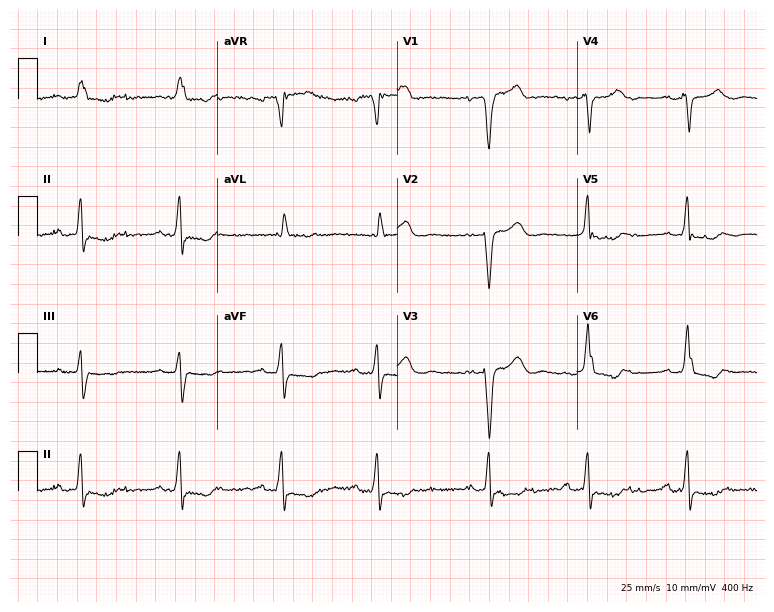
ECG (7.3-second recording at 400 Hz) — a 72-year-old woman. Findings include left bundle branch block (LBBB).